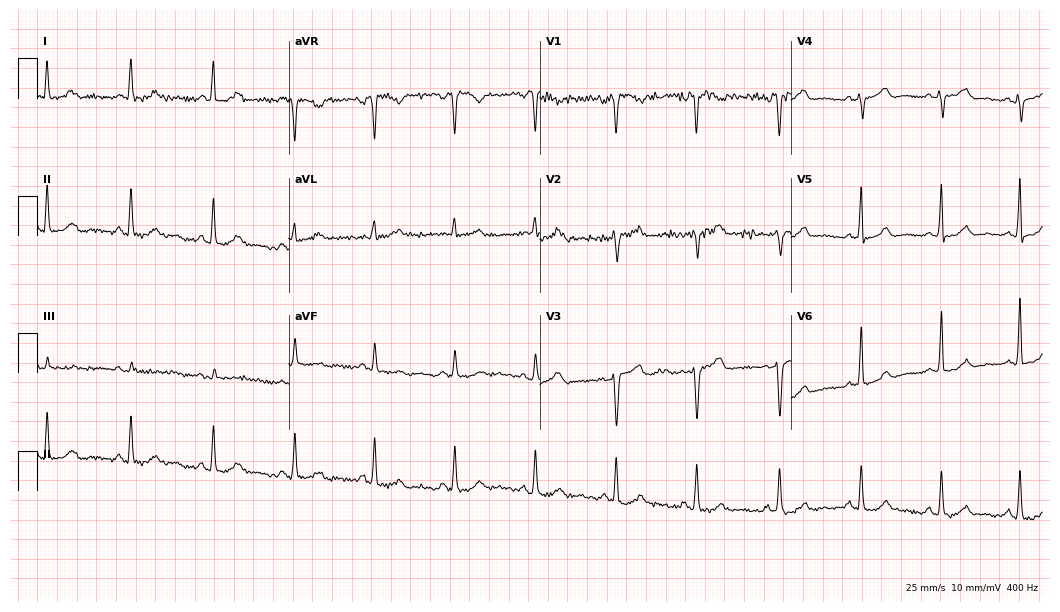
12-lead ECG from a female, 54 years old. Screened for six findings — first-degree AV block, right bundle branch block, left bundle branch block, sinus bradycardia, atrial fibrillation, sinus tachycardia — none is recorded. Only these six findings were labelled.